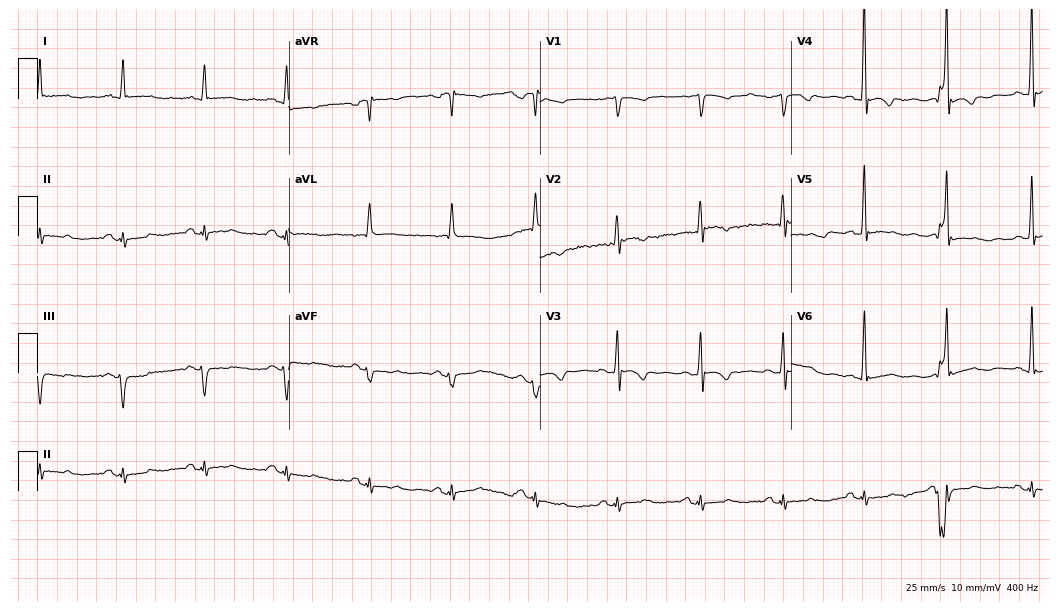
12-lead ECG (10.2-second recording at 400 Hz) from a 65-year-old male patient. Screened for six findings — first-degree AV block, right bundle branch block, left bundle branch block, sinus bradycardia, atrial fibrillation, sinus tachycardia — none is recorded.